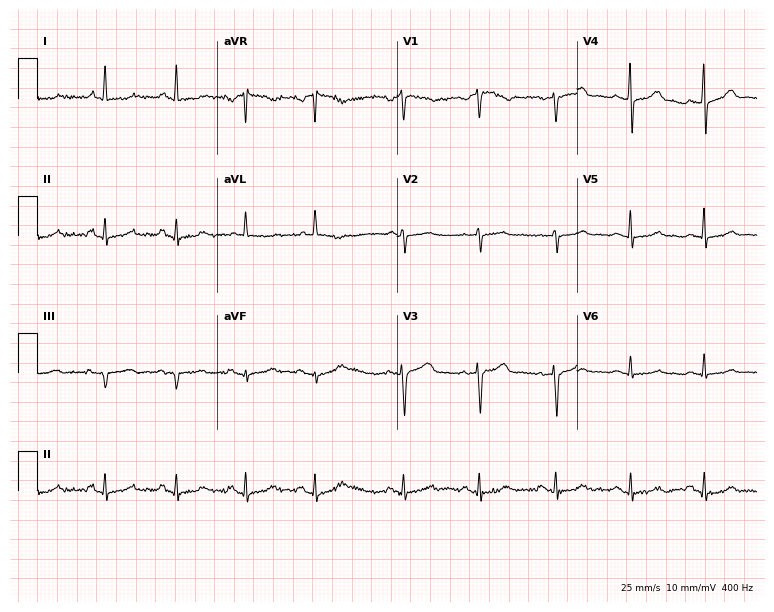
Standard 12-lead ECG recorded from a woman, 70 years old (7.3-second recording at 400 Hz). Read as a normal ECG.